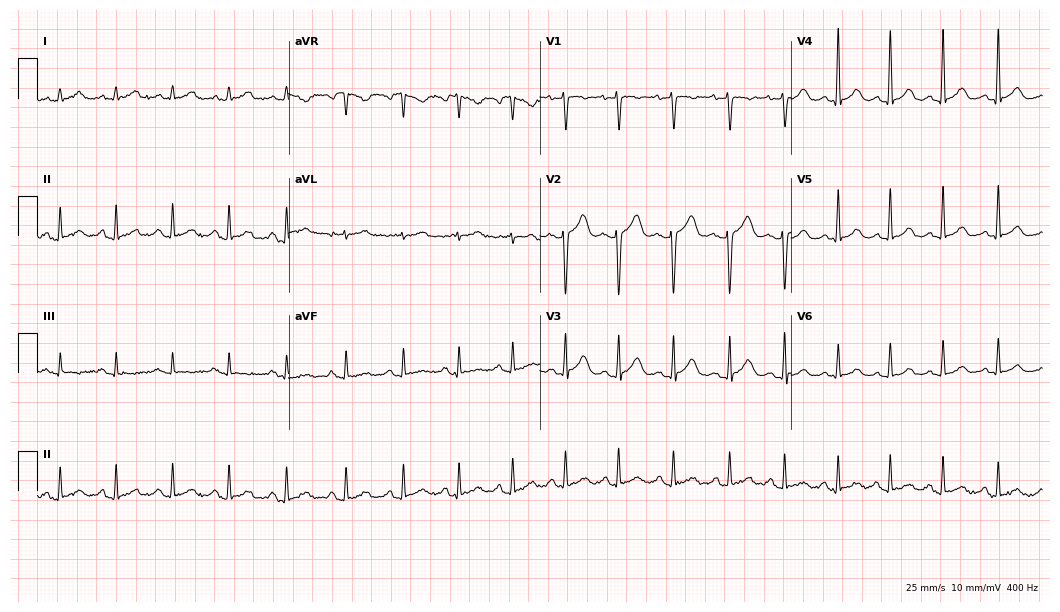
Standard 12-lead ECG recorded from a female, 29 years old. The tracing shows sinus tachycardia (a sinus rate of 100 beats per minute or more).